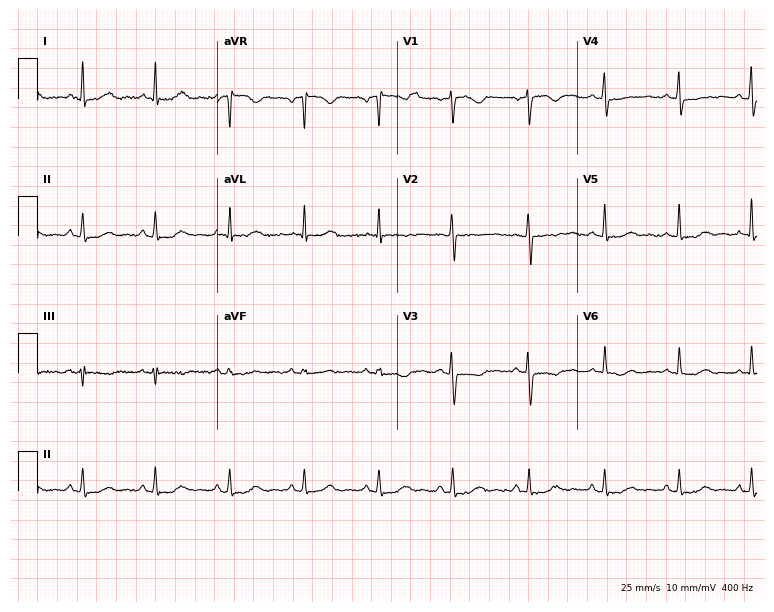
12-lead ECG (7.3-second recording at 400 Hz) from a 46-year-old female. Screened for six findings — first-degree AV block, right bundle branch block, left bundle branch block, sinus bradycardia, atrial fibrillation, sinus tachycardia — none is recorded. Other findings, if any, are not listed.